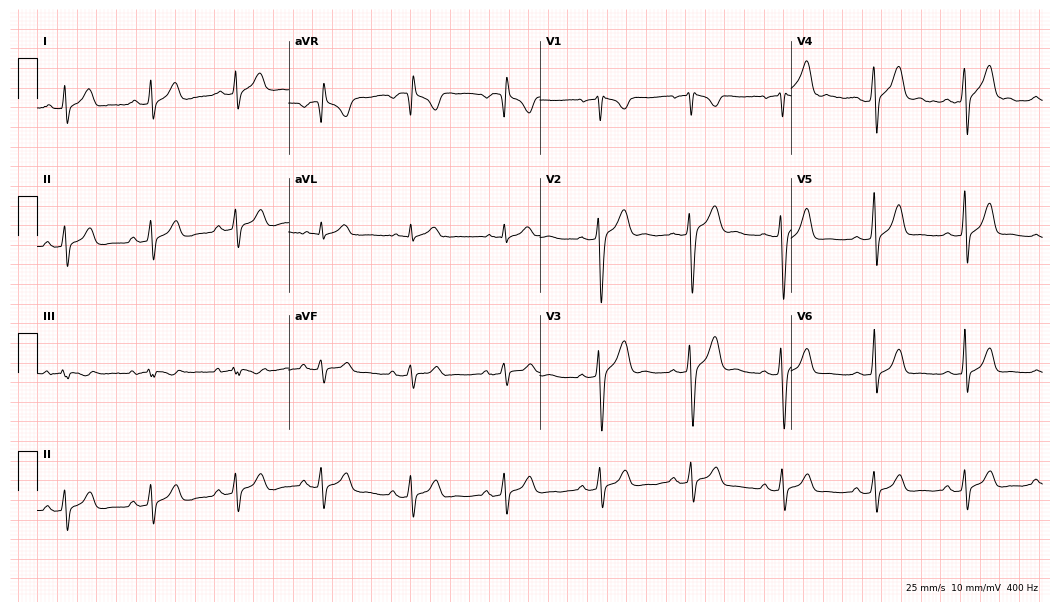
12-lead ECG from a man, 32 years old. No first-degree AV block, right bundle branch block (RBBB), left bundle branch block (LBBB), sinus bradycardia, atrial fibrillation (AF) or sinus tachycardia recorded for this tracing. Other findings, if any, are not listed.